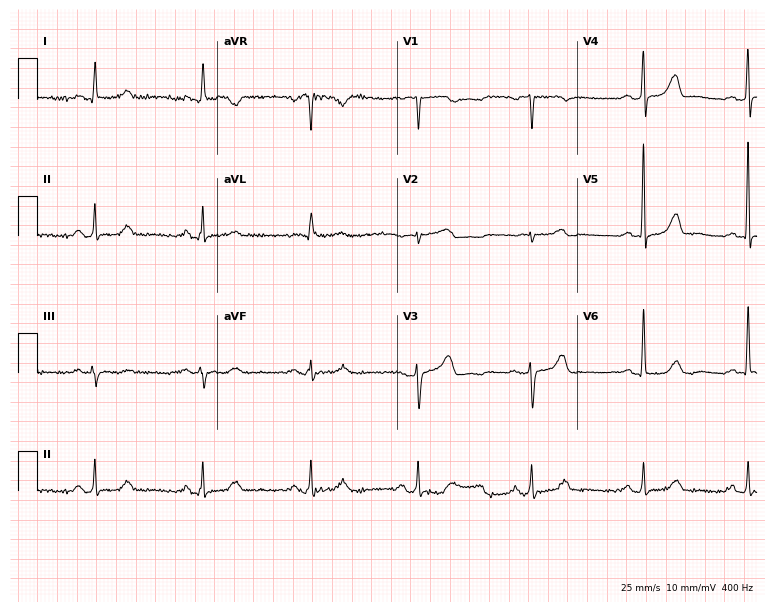
ECG — a woman, 60 years old. Screened for six findings — first-degree AV block, right bundle branch block, left bundle branch block, sinus bradycardia, atrial fibrillation, sinus tachycardia — none is recorded. Only these six findings were labelled.